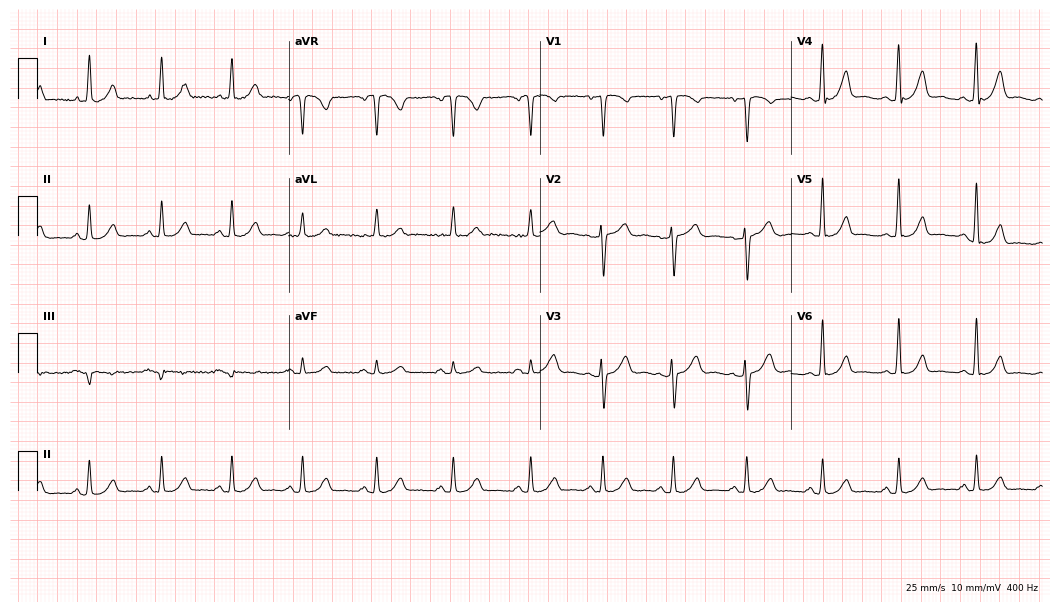
Electrocardiogram, a 40-year-old woman. Overall reading on record: normal ECG.